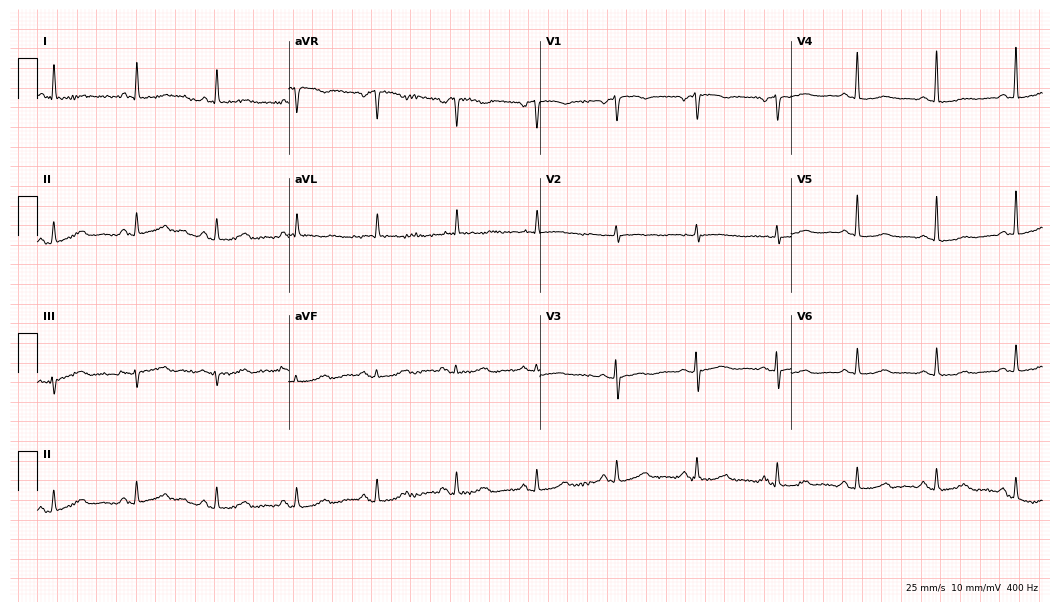
12-lead ECG from an 81-year-old female. No first-degree AV block, right bundle branch block, left bundle branch block, sinus bradycardia, atrial fibrillation or sinus tachycardia recorded for this tracing.